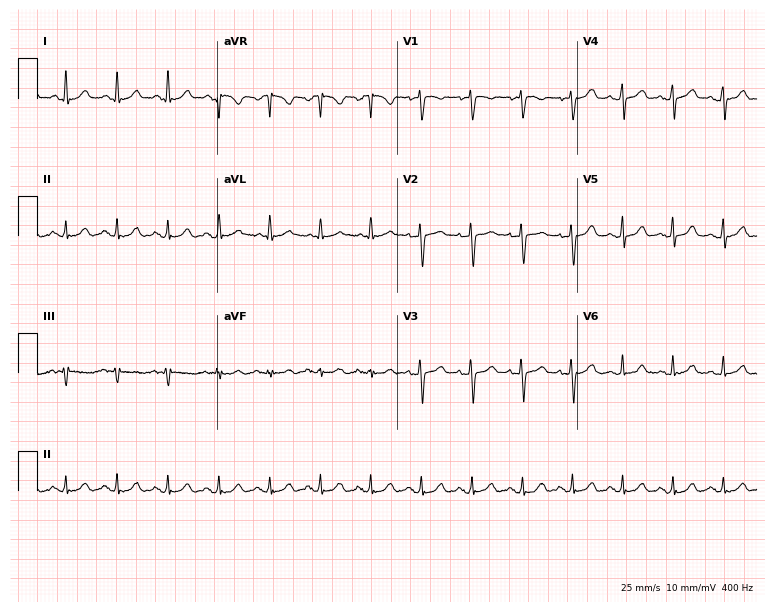
12-lead ECG (7.3-second recording at 400 Hz) from a female patient, 62 years old. Screened for six findings — first-degree AV block, right bundle branch block, left bundle branch block, sinus bradycardia, atrial fibrillation, sinus tachycardia — none is recorded.